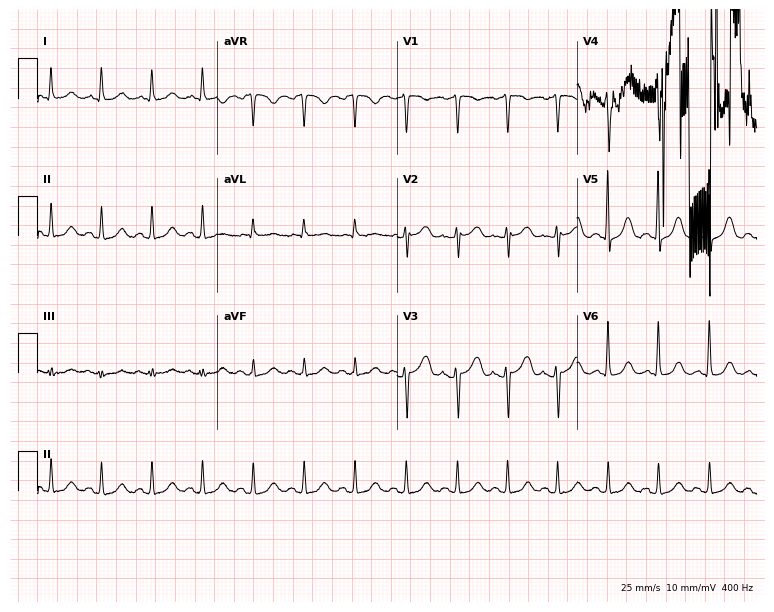
12-lead ECG from a 50-year-old female (7.3-second recording at 400 Hz). Shows sinus tachycardia (a sinus rate of 100 beats per minute or more).